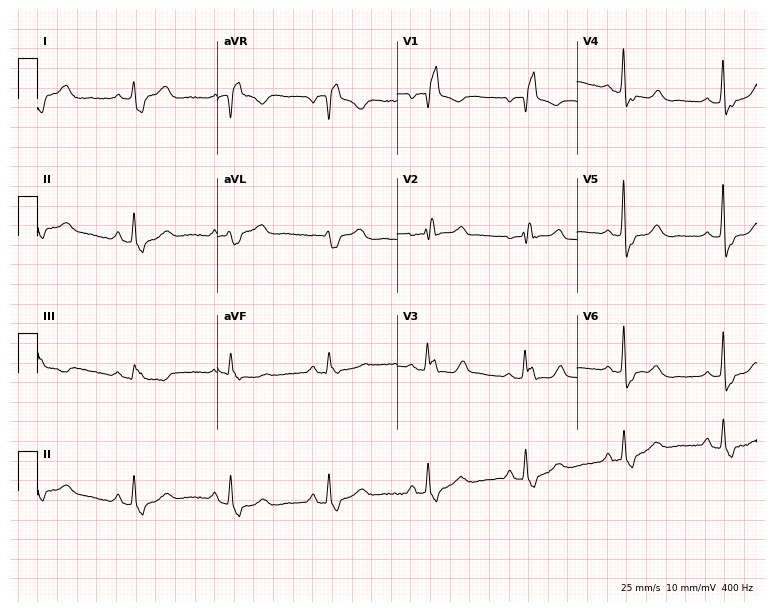
ECG (7.3-second recording at 400 Hz) — a female, 69 years old. Findings include right bundle branch block.